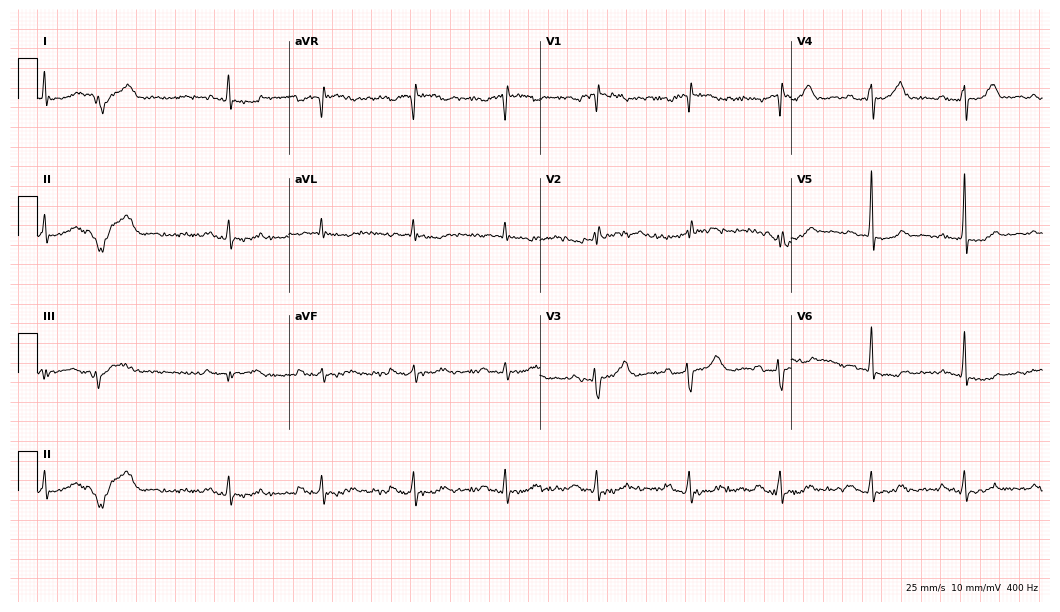
Standard 12-lead ECG recorded from a 74-year-old male patient (10.2-second recording at 400 Hz). None of these six findings is recorded: first-degree AV block, right bundle branch block (RBBB), left bundle branch block (LBBB), sinus bradycardia, atrial fibrillation (AF), sinus tachycardia.